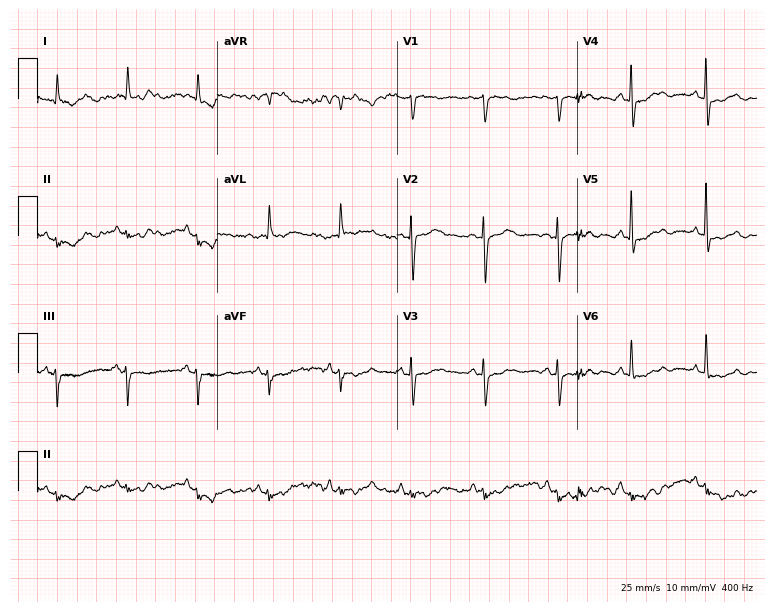
12-lead ECG from a female patient, 83 years old (7.3-second recording at 400 Hz). No first-degree AV block, right bundle branch block (RBBB), left bundle branch block (LBBB), sinus bradycardia, atrial fibrillation (AF) or sinus tachycardia recorded for this tracing. Findings outside these six are not listed.